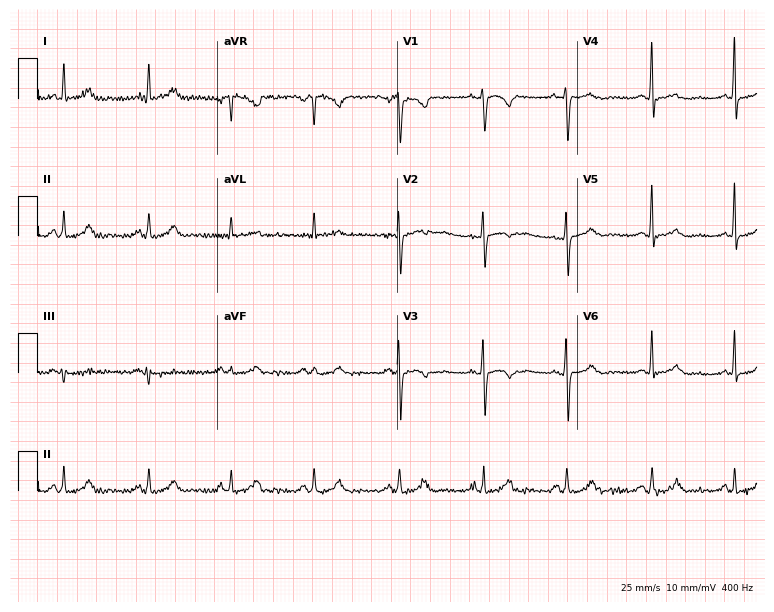
12-lead ECG from a female, 42 years old. No first-degree AV block, right bundle branch block, left bundle branch block, sinus bradycardia, atrial fibrillation or sinus tachycardia recorded for this tracing. Findings outside these six are not listed.